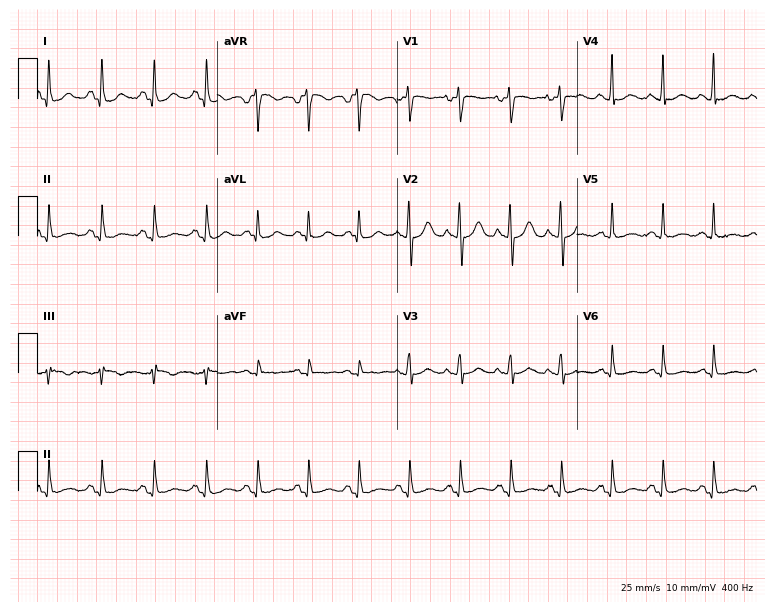
Standard 12-lead ECG recorded from a female patient, 42 years old. The tracing shows sinus tachycardia (a sinus rate of 100 beats per minute or more).